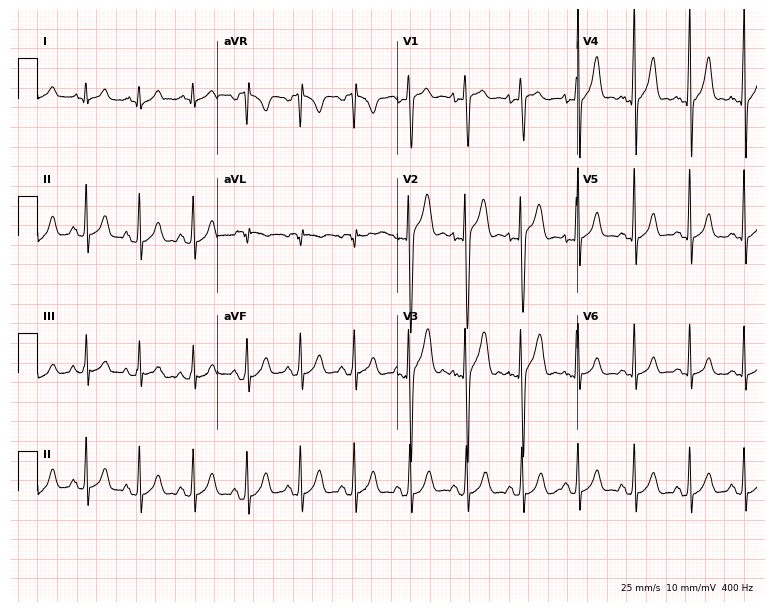
ECG — a man, 17 years old. Screened for six findings — first-degree AV block, right bundle branch block, left bundle branch block, sinus bradycardia, atrial fibrillation, sinus tachycardia — none is recorded. Other findings, if any, are not listed.